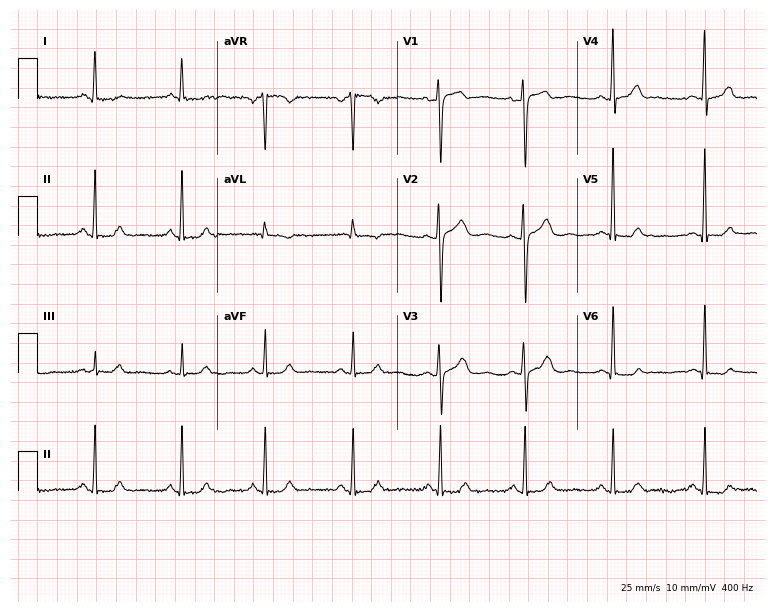
12-lead ECG from a female, 63 years old. Screened for six findings — first-degree AV block, right bundle branch block (RBBB), left bundle branch block (LBBB), sinus bradycardia, atrial fibrillation (AF), sinus tachycardia — none is recorded.